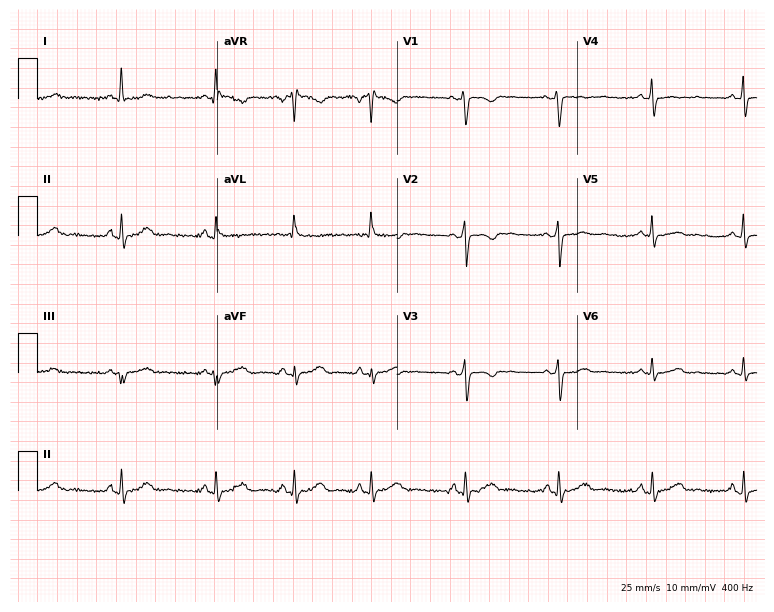
ECG — a 36-year-old female. Labelled as a normal ECG.